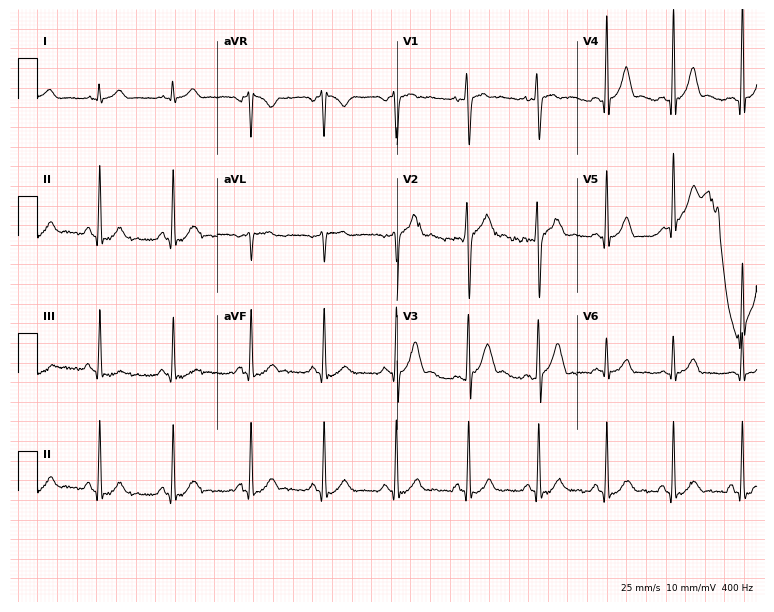
Resting 12-lead electrocardiogram (7.3-second recording at 400 Hz). Patient: a male, 21 years old. Read as a normal ECG.